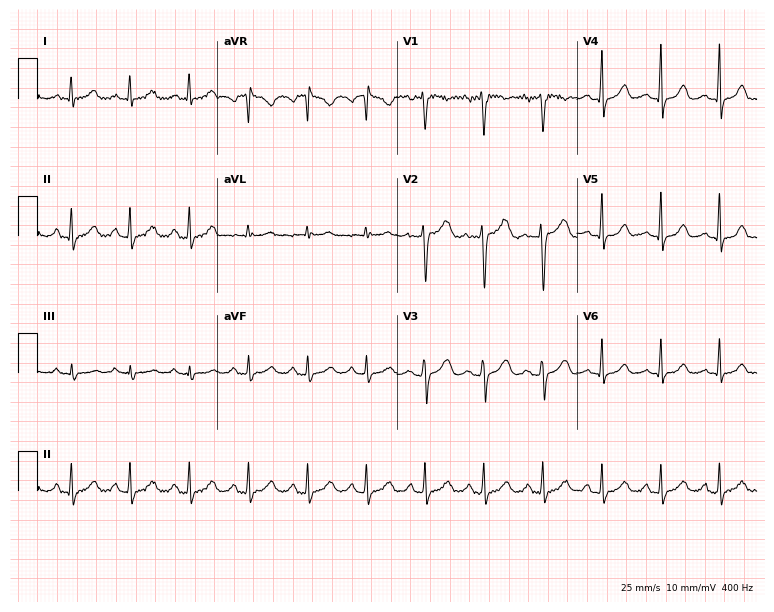
12-lead ECG (7.3-second recording at 400 Hz) from a 24-year-old female patient. Screened for six findings — first-degree AV block, right bundle branch block, left bundle branch block, sinus bradycardia, atrial fibrillation, sinus tachycardia — none is recorded.